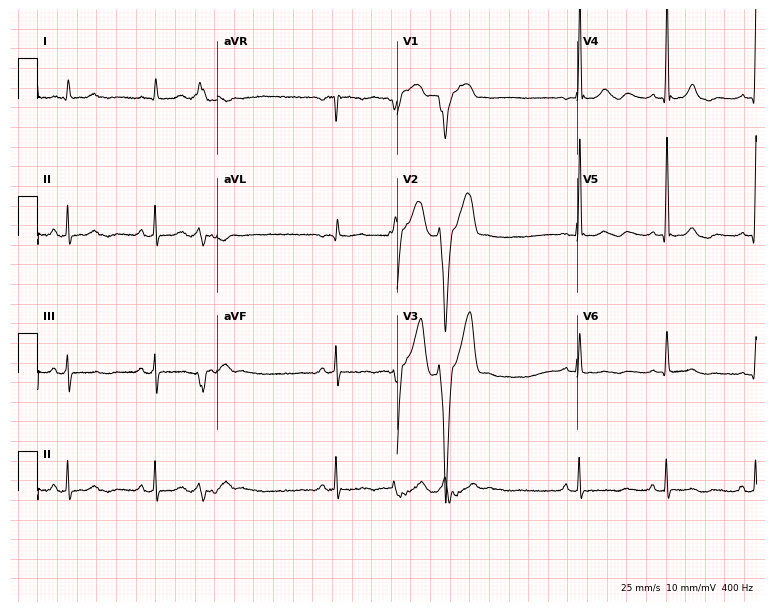
12-lead ECG (7.3-second recording at 400 Hz) from a 69-year-old female patient. Labelled as a normal ECG.